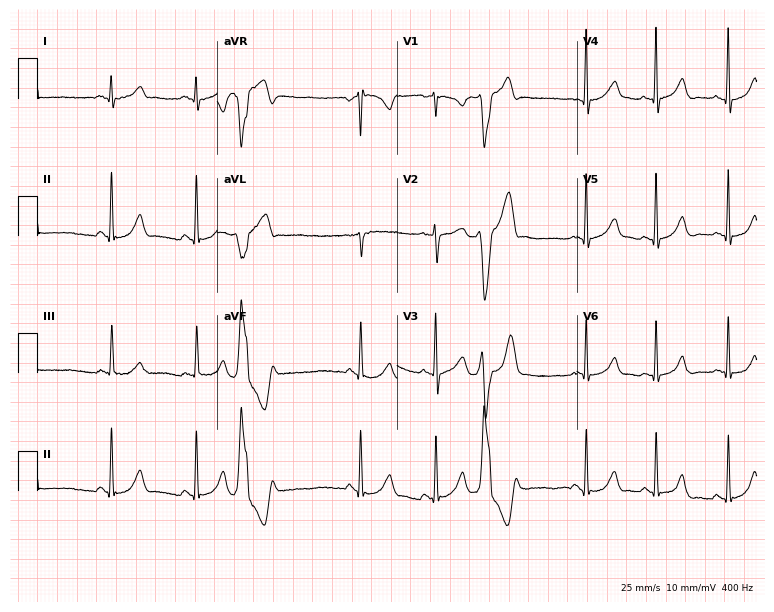
Resting 12-lead electrocardiogram (7.3-second recording at 400 Hz). Patient: a male, 29 years old. Read as a normal ECG.